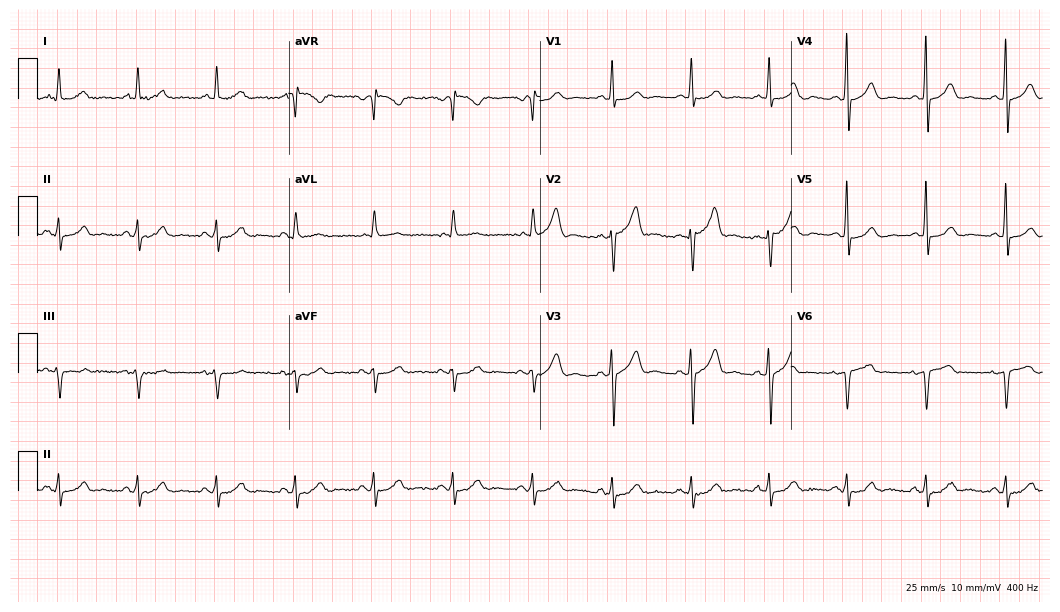
12-lead ECG from a 66-year-old man (10.2-second recording at 400 Hz). No first-degree AV block, right bundle branch block, left bundle branch block, sinus bradycardia, atrial fibrillation or sinus tachycardia recorded for this tracing. Findings outside these six are not listed.